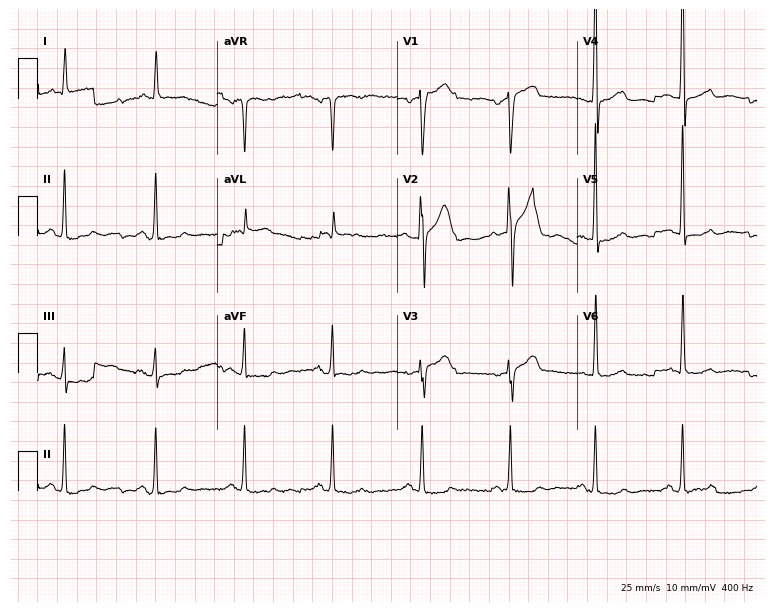
ECG — a 74-year-old man. Screened for six findings — first-degree AV block, right bundle branch block, left bundle branch block, sinus bradycardia, atrial fibrillation, sinus tachycardia — none is recorded. Other findings, if any, are not listed.